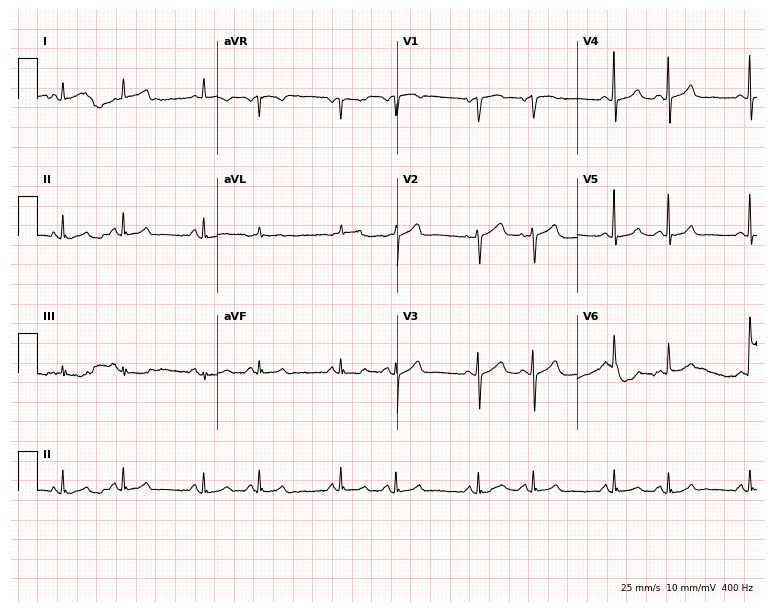
Standard 12-lead ECG recorded from an 84-year-old woman. None of these six findings is recorded: first-degree AV block, right bundle branch block, left bundle branch block, sinus bradycardia, atrial fibrillation, sinus tachycardia. Findings outside these six are not listed.